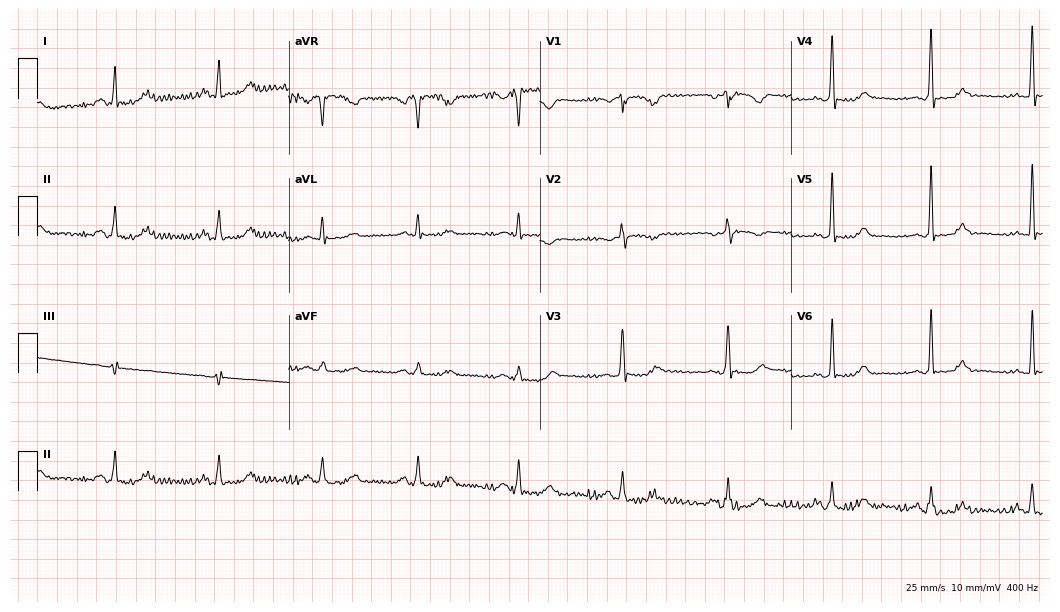
ECG — a 62-year-old female. Screened for six findings — first-degree AV block, right bundle branch block (RBBB), left bundle branch block (LBBB), sinus bradycardia, atrial fibrillation (AF), sinus tachycardia — none is recorded.